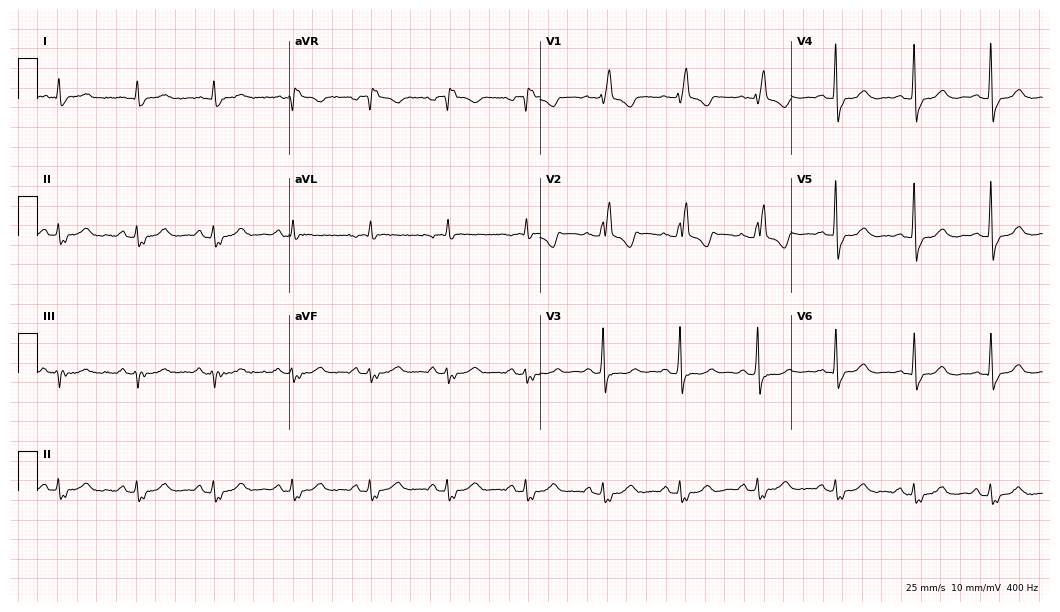
12-lead ECG from a 66-year-old male. Findings include right bundle branch block.